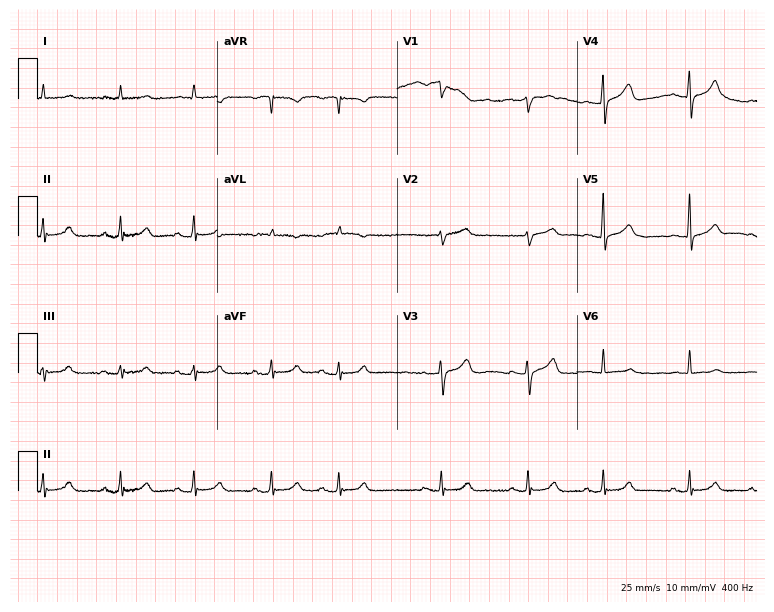
ECG — a man, 76 years old. Screened for six findings — first-degree AV block, right bundle branch block (RBBB), left bundle branch block (LBBB), sinus bradycardia, atrial fibrillation (AF), sinus tachycardia — none is recorded.